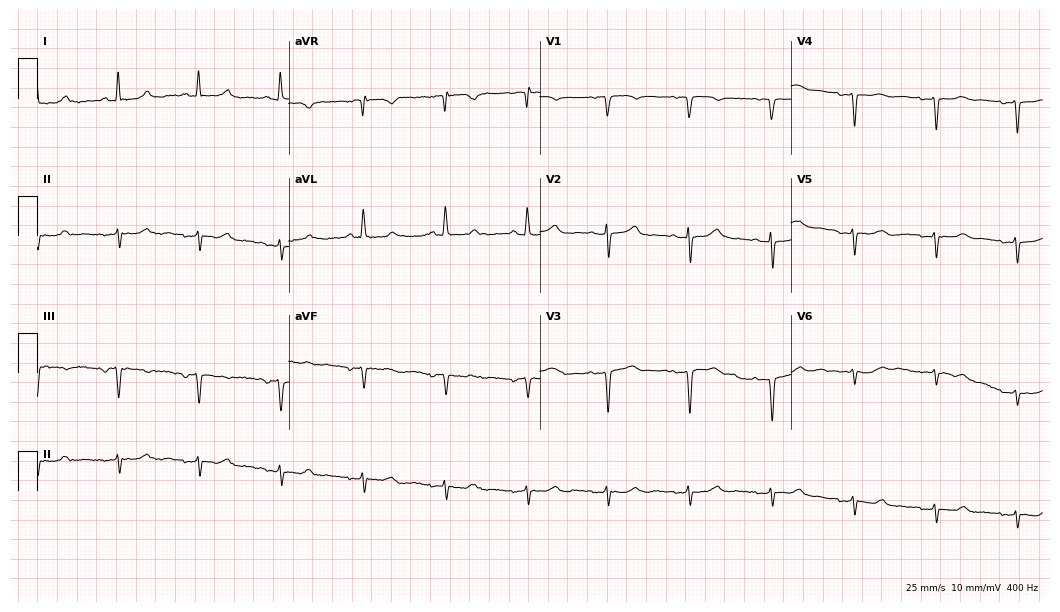
Electrocardiogram (10.2-second recording at 400 Hz), a man, 74 years old. Of the six screened findings (first-degree AV block, right bundle branch block, left bundle branch block, sinus bradycardia, atrial fibrillation, sinus tachycardia), none is recorded.